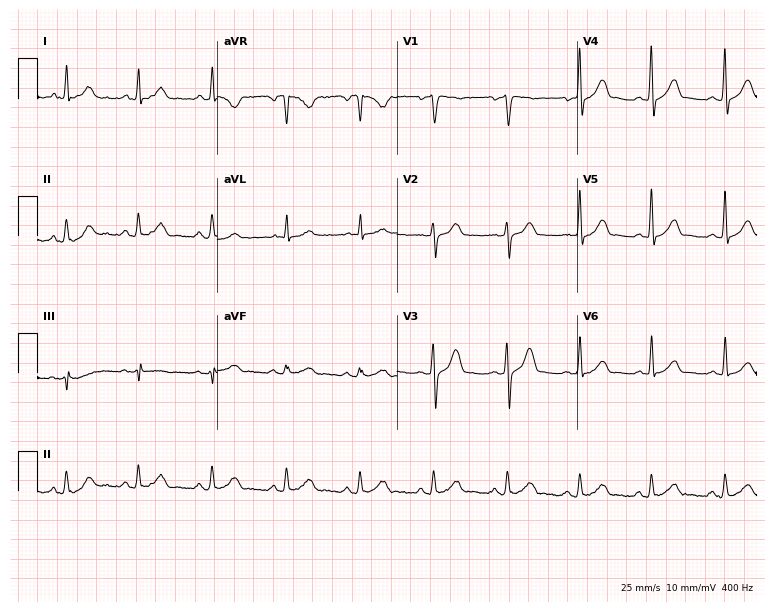
12-lead ECG (7.3-second recording at 400 Hz) from a male patient, 28 years old. Screened for six findings — first-degree AV block, right bundle branch block, left bundle branch block, sinus bradycardia, atrial fibrillation, sinus tachycardia — none is recorded.